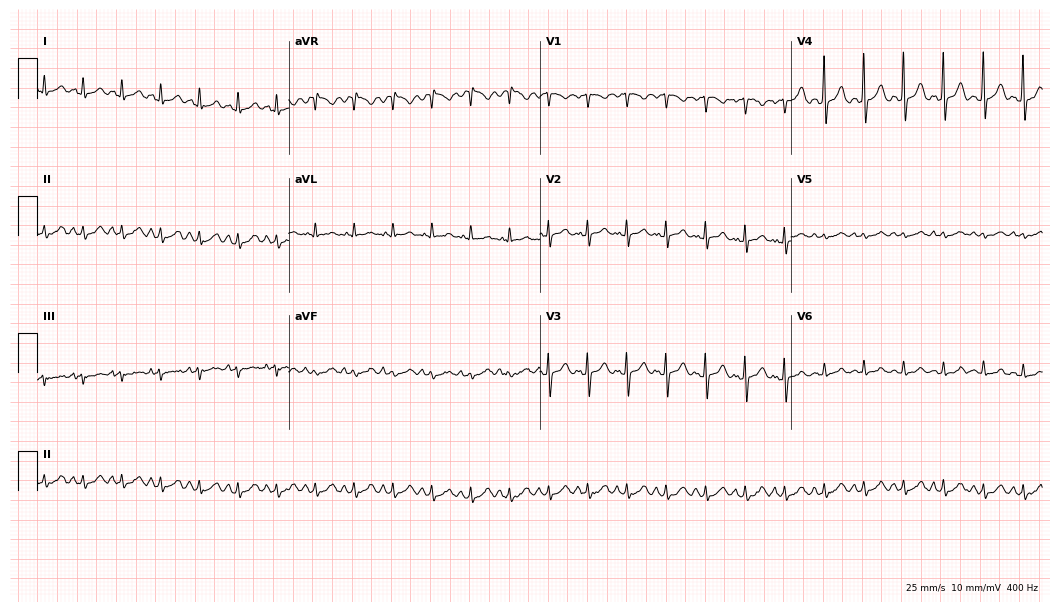
12-lead ECG (10.2-second recording at 400 Hz) from a female patient, 33 years old. Findings include sinus tachycardia (a sinus rate of 100 beats per minute or more).